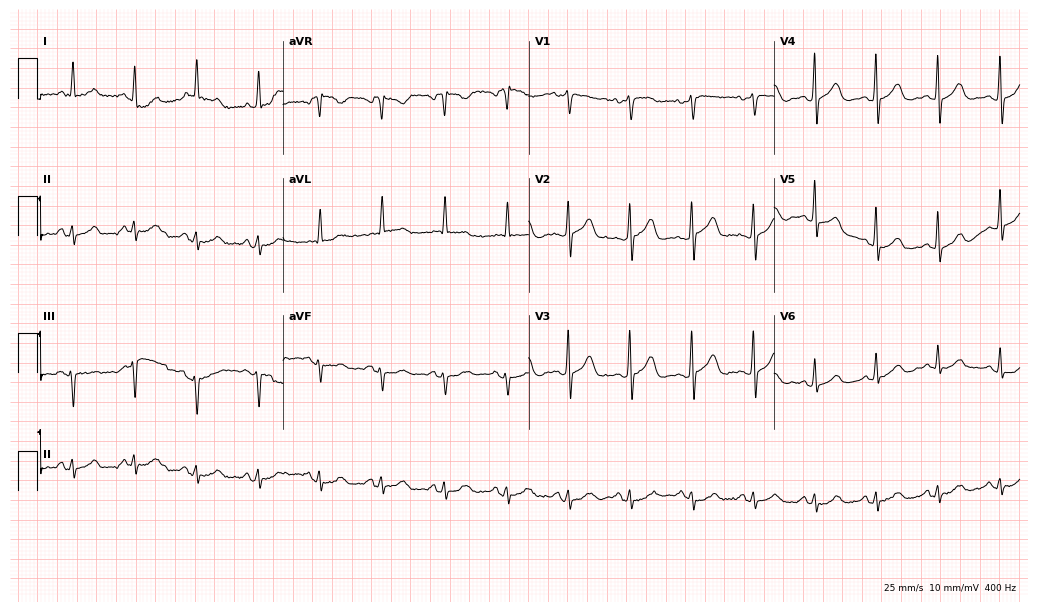
Resting 12-lead electrocardiogram (10-second recording at 400 Hz). Patient: a 79-year-old female. Read as a normal ECG.